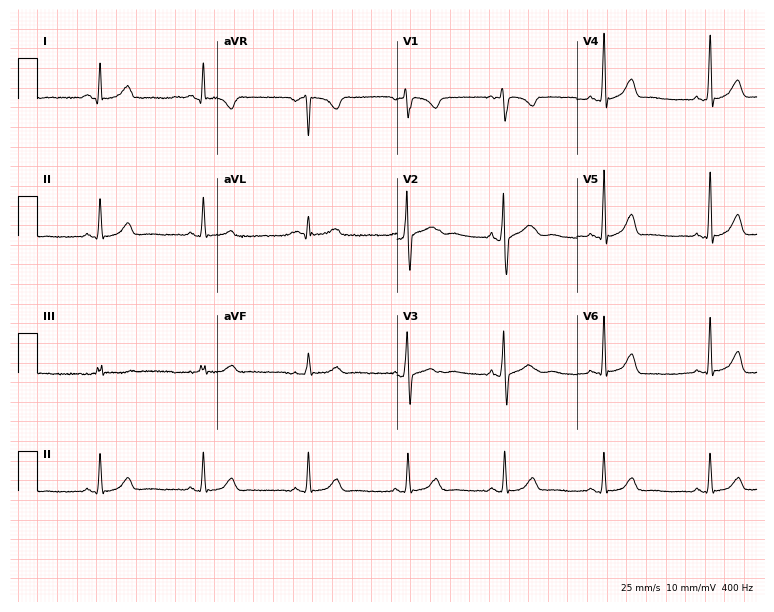
Electrocardiogram (7.3-second recording at 400 Hz), a 31-year-old female patient. Overall reading on record: normal ECG.